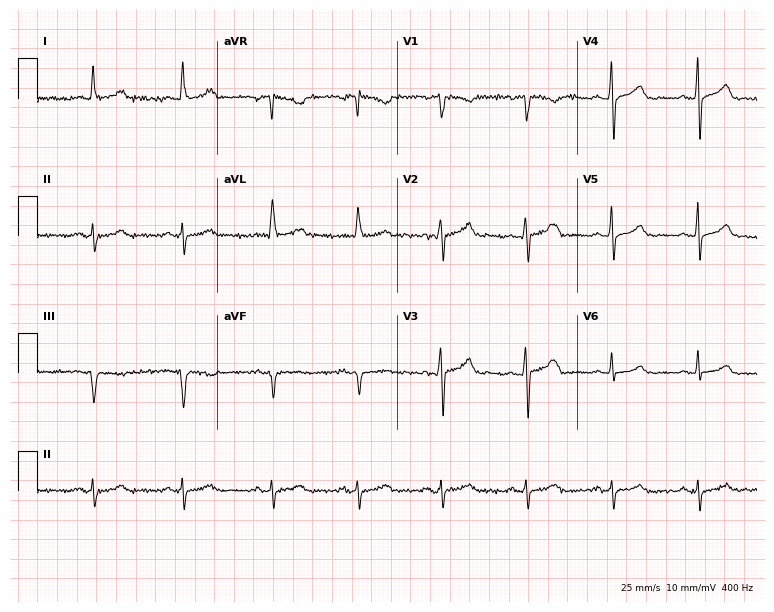
Resting 12-lead electrocardiogram (7.3-second recording at 400 Hz). Patient: a 52-year-old male. None of these six findings is recorded: first-degree AV block, right bundle branch block, left bundle branch block, sinus bradycardia, atrial fibrillation, sinus tachycardia.